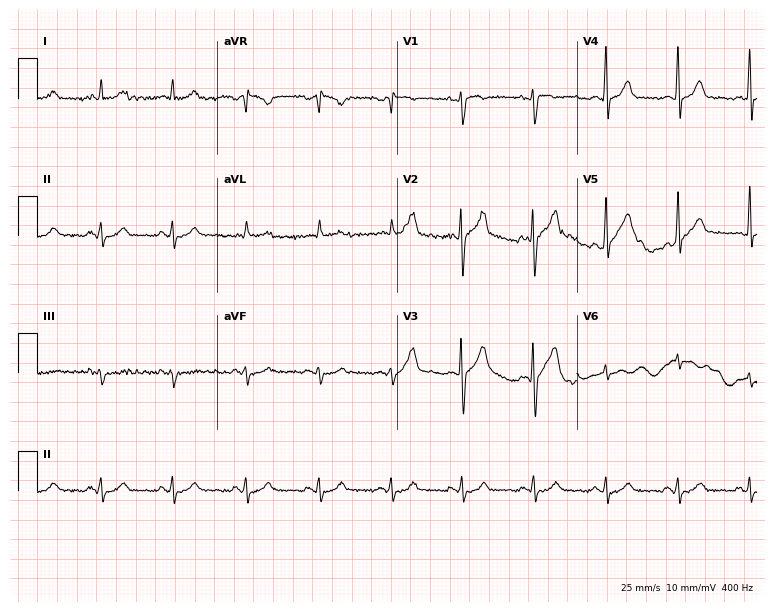
Resting 12-lead electrocardiogram. Patient: a male, 42 years old. None of these six findings is recorded: first-degree AV block, right bundle branch block, left bundle branch block, sinus bradycardia, atrial fibrillation, sinus tachycardia.